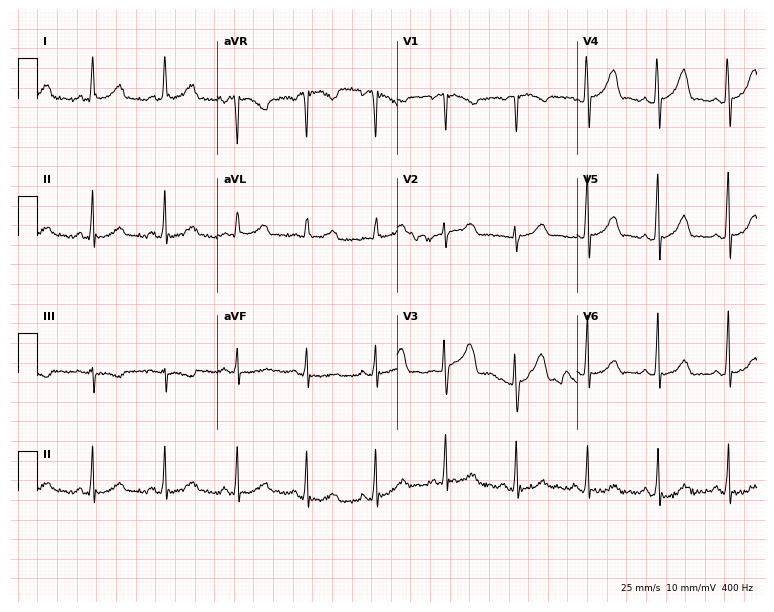
12-lead ECG from a 38-year-old female patient (7.3-second recording at 400 Hz). No first-degree AV block, right bundle branch block, left bundle branch block, sinus bradycardia, atrial fibrillation or sinus tachycardia recorded for this tracing.